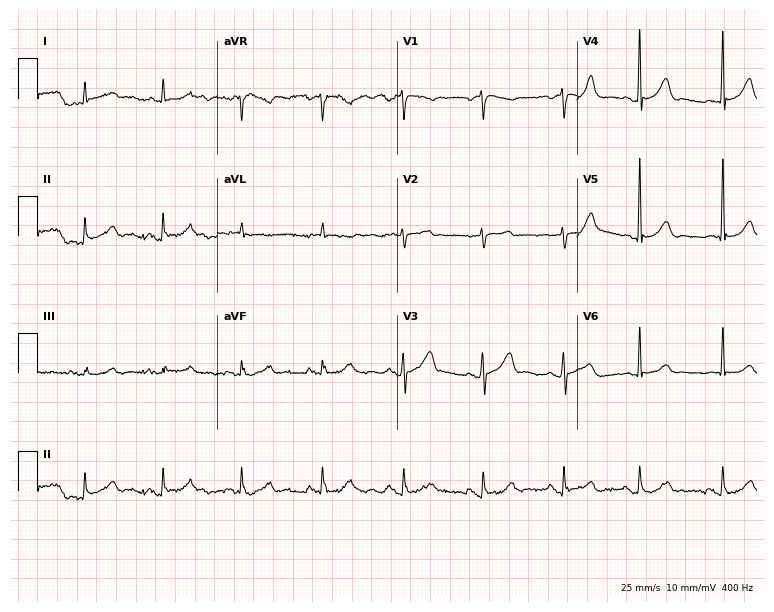
Resting 12-lead electrocardiogram. Patient: a 68-year-old male. Read as a normal ECG.